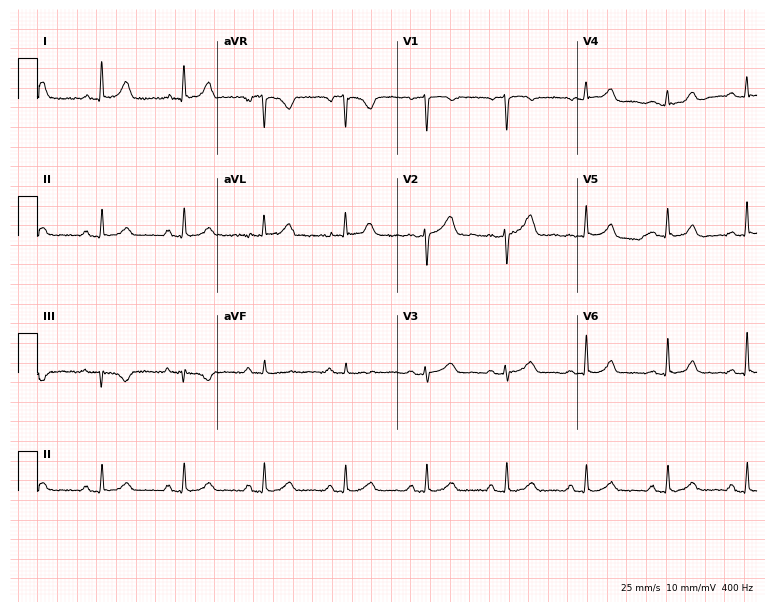
12-lead ECG from a 57-year-old female. Labelled as a normal ECG.